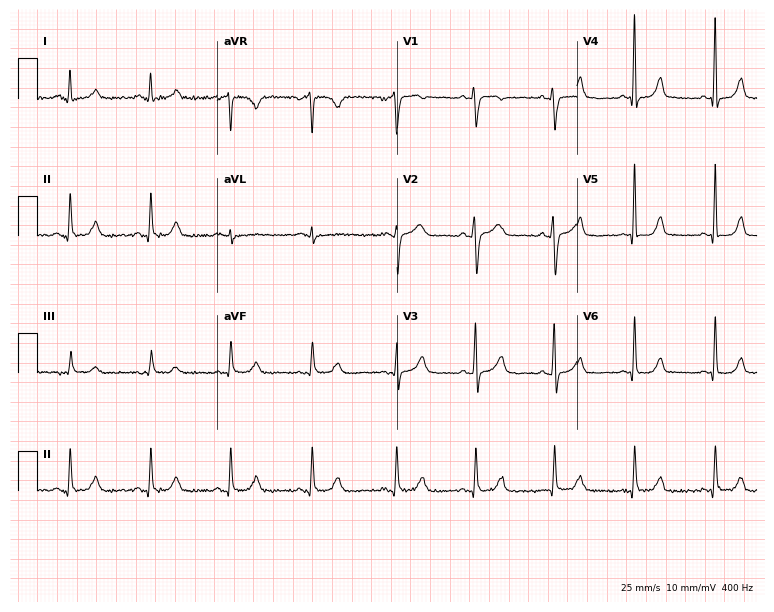
Standard 12-lead ECG recorded from a female patient, 51 years old (7.3-second recording at 400 Hz). Read as a normal ECG.